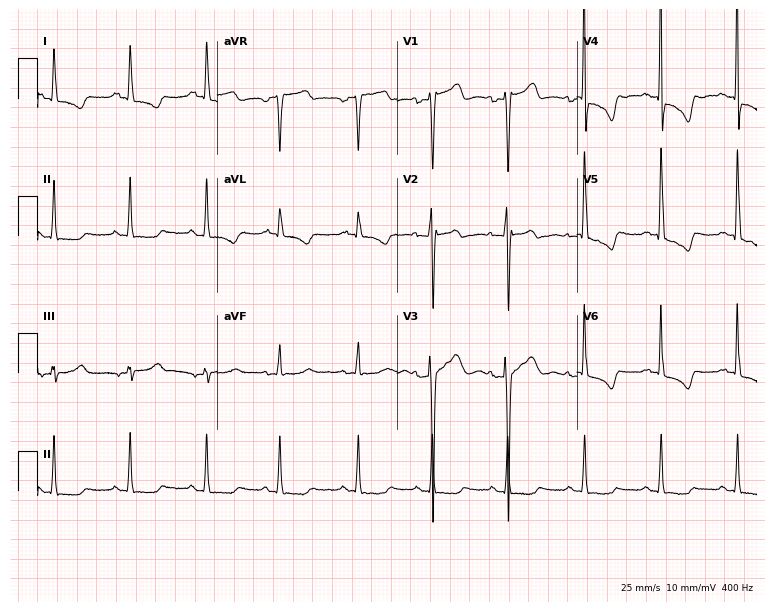
12-lead ECG from a 57-year-old female patient. No first-degree AV block, right bundle branch block (RBBB), left bundle branch block (LBBB), sinus bradycardia, atrial fibrillation (AF) or sinus tachycardia recorded for this tracing.